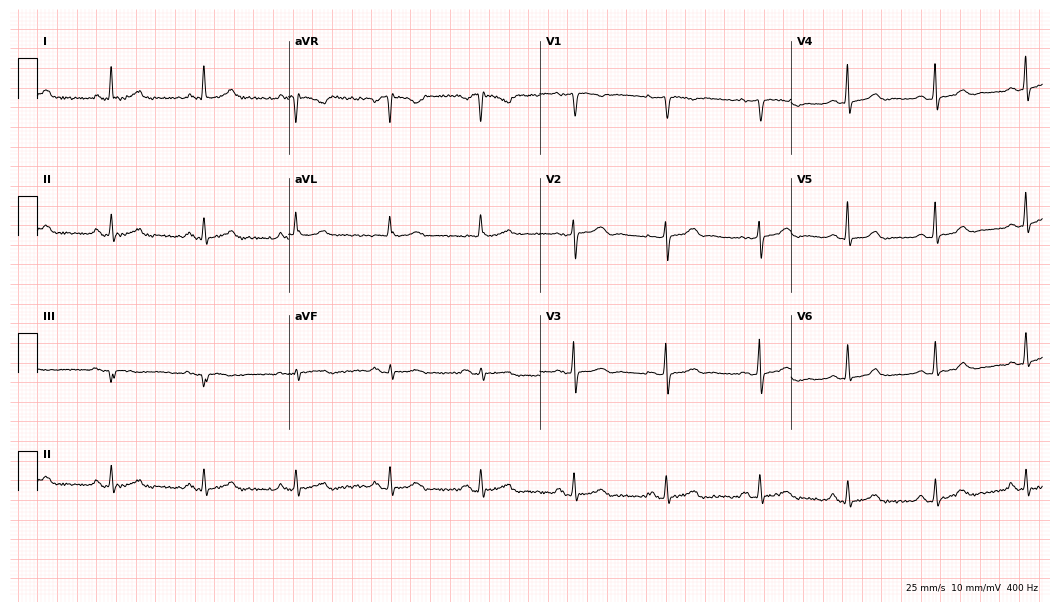
12-lead ECG from a female patient, 81 years old. Labelled as a normal ECG.